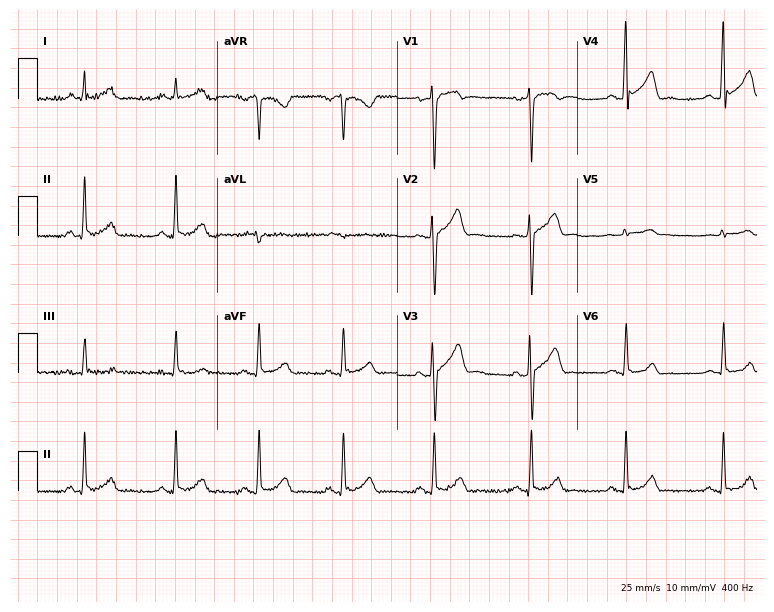
12-lead ECG from a 30-year-old man. Labelled as a normal ECG.